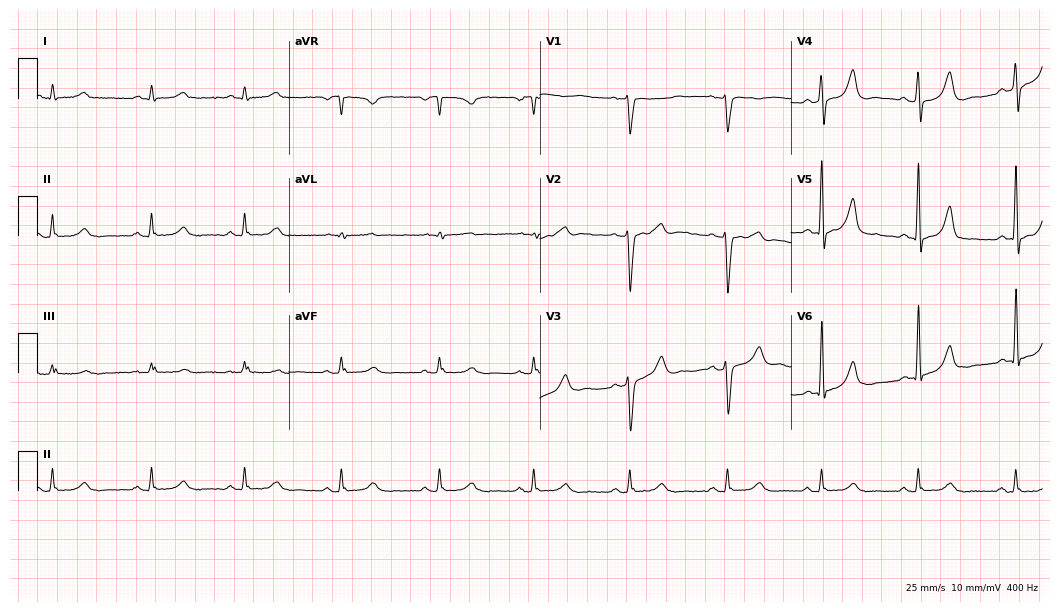
12-lead ECG (10.2-second recording at 400 Hz) from a male, 55 years old. Screened for six findings — first-degree AV block, right bundle branch block (RBBB), left bundle branch block (LBBB), sinus bradycardia, atrial fibrillation (AF), sinus tachycardia — none is recorded. Findings outside these six are not listed.